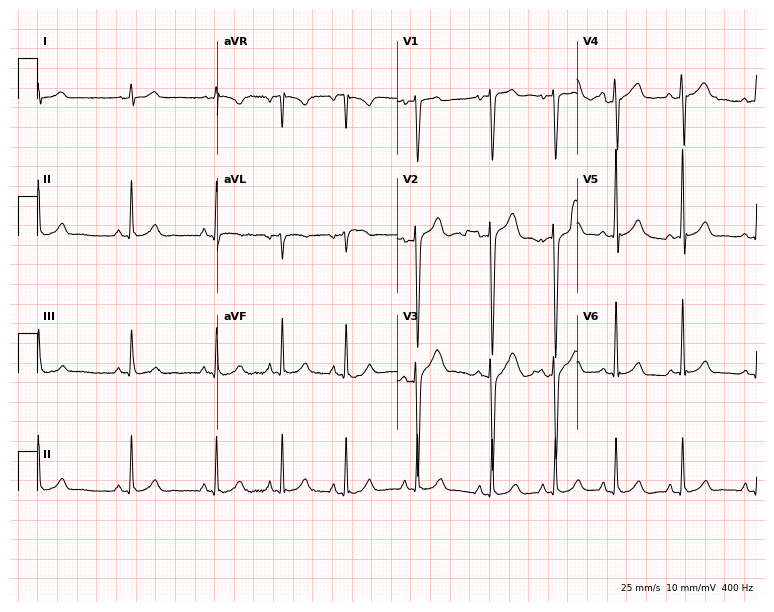
ECG (7.3-second recording at 400 Hz) — a male patient, 27 years old. Labelled as a normal ECG.